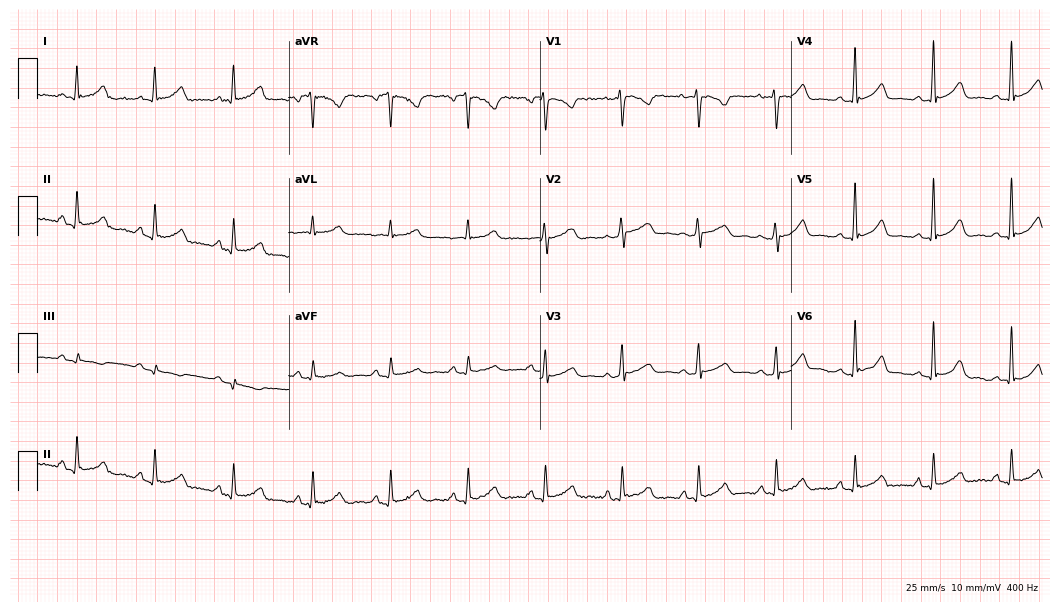
12-lead ECG from a woman, 56 years old. No first-degree AV block, right bundle branch block (RBBB), left bundle branch block (LBBB), sinus bradycardia, atrial fibrillation (AF) or sinus tachycardia recorded for this tracing. Findings outside these six are not listed.